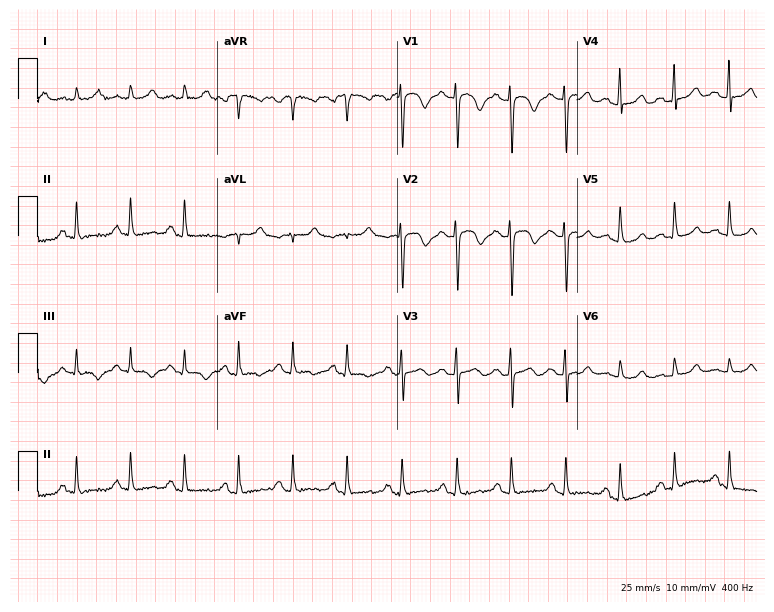
12-lead ECG (7.3-second recording at 400 Hz) from a female patient, 44 years old. Findings include sinus tachycardia (a sinus rate of 100 beats per minute or more).